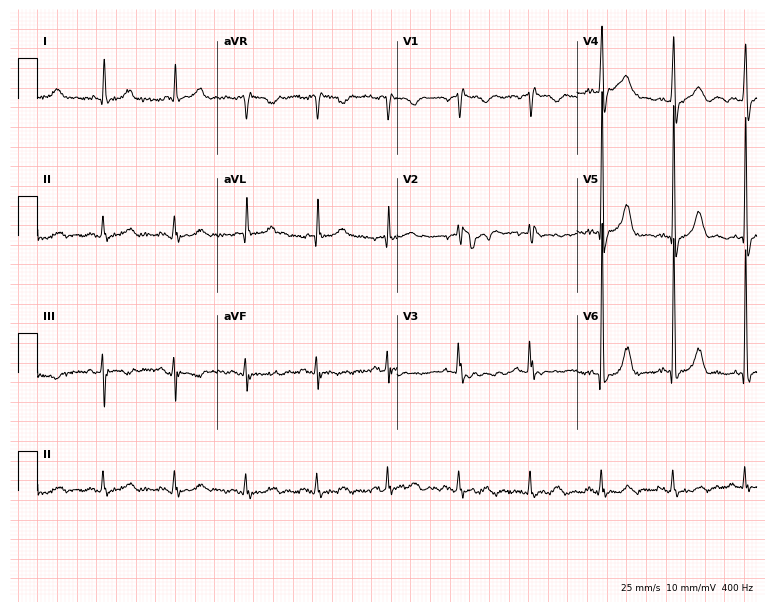
12-lead ECG from a man, 82 years old. Screened for six findings — first-degree AV block, right bundle branch block, left bundle branch block, sinus bradycardia, atrial fibrillation, sinus tachycardia — none is recorded.